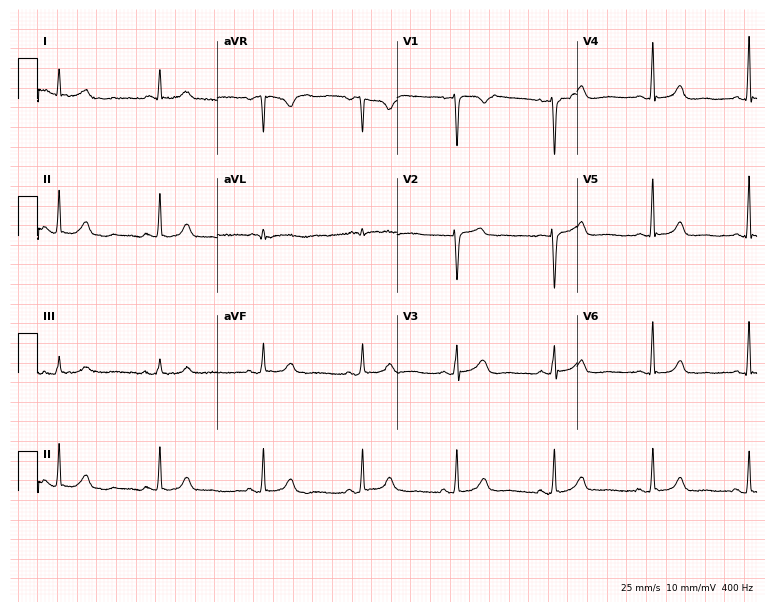
Resting 12-lead electrocardiogram (7.3-second recording at 400 Hz). Patient: a 48-year-old female. None of these six findings is recorded: first-degree AV block, right bundle branch block (RBBB), left bundle branch block (LBBB), sinus bradycardia, atrial fibrillation (AF), sinus tachycardia. Findings outside these six are not listed.